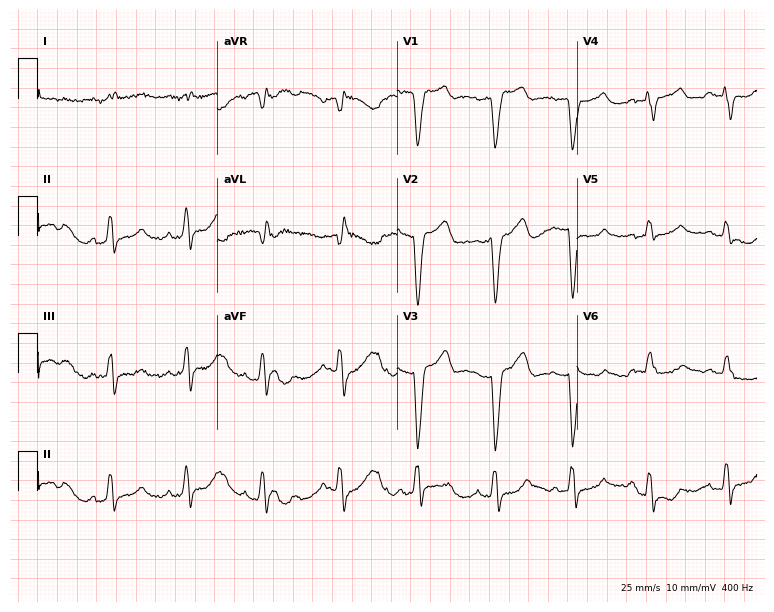
12-lead ECG from a 76-year-old female (7.3-second recording at 400 Hz). Shows left bundle branch block (LBBB).